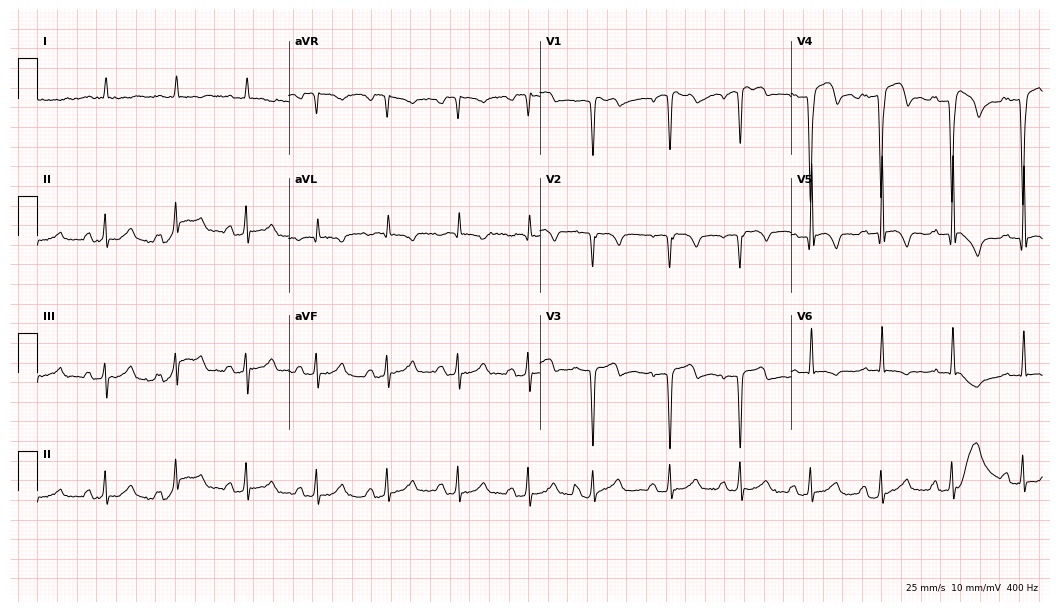
ECG (10.2-second recording at 400 Hz) — an 83-year-old male. Screened for six findings — first-degree AV block, right bundle branch block (RBBB), left bundle branch block (LBBB), sinus bradycardia, atrial fibrillation (AF), sinus tachycardia — none is recorded.